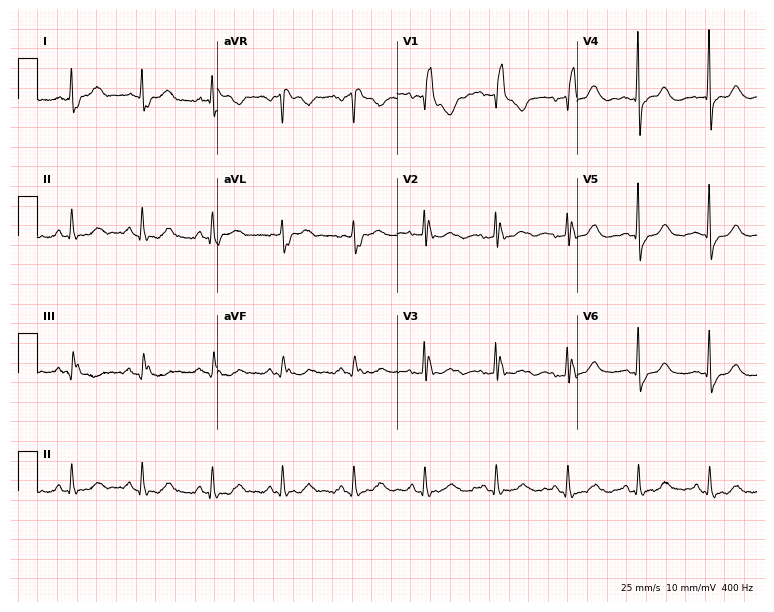
Standard 12-lead ECG recorded from a 75-year-old female patient. The tracing shows right bundle branch block.